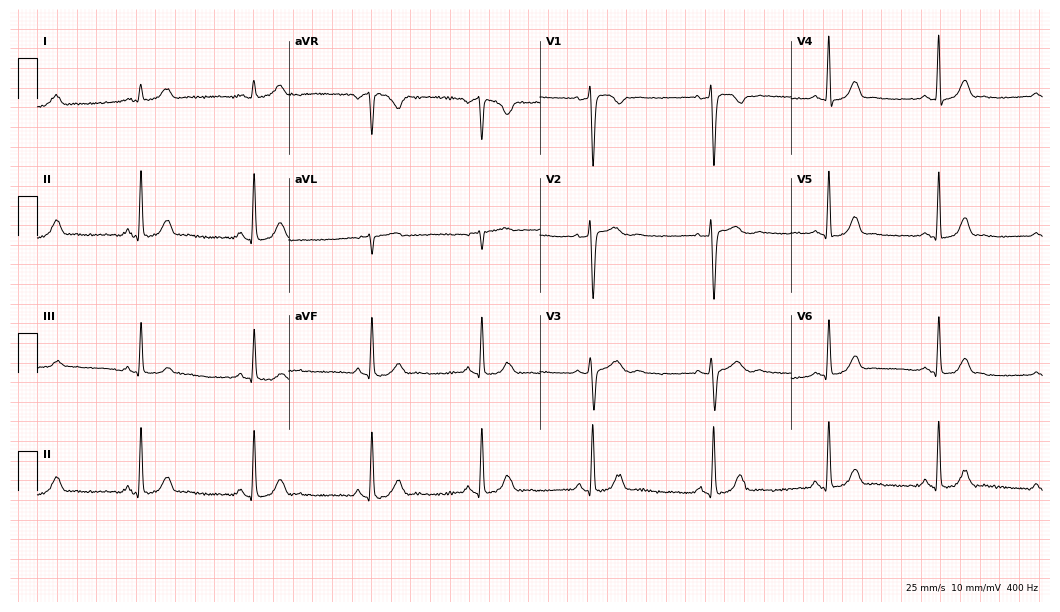
12-lead ECG (10.2-second recording at 400 Hz) from a 41-year-old female. Labelled as a normal ECG.